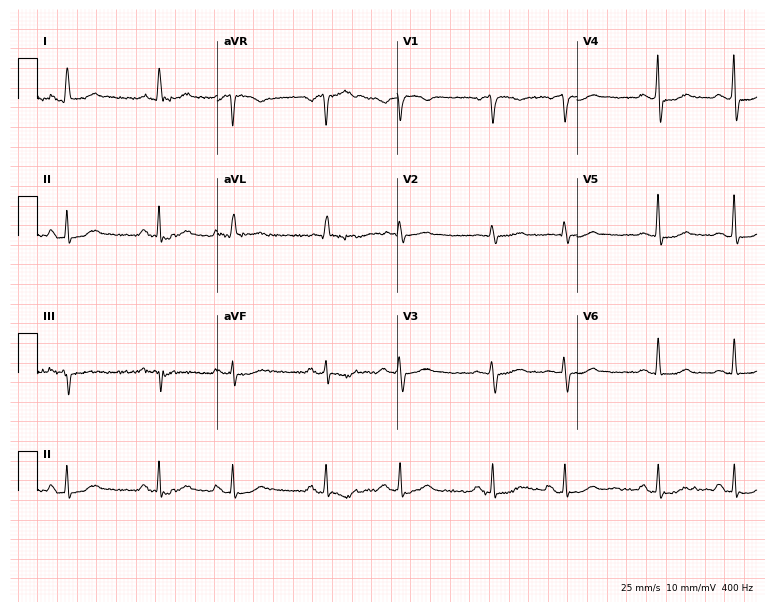
Resting 12-lead electrocardiogram. Patient: a 72-year-old female. None of these six findings is recorded: first-degree AV block, right bundle branch block, left bundle branch block, sinus bradycardia, atrial fibrillation, sinus tachycardia. Only these six findings were labelled.